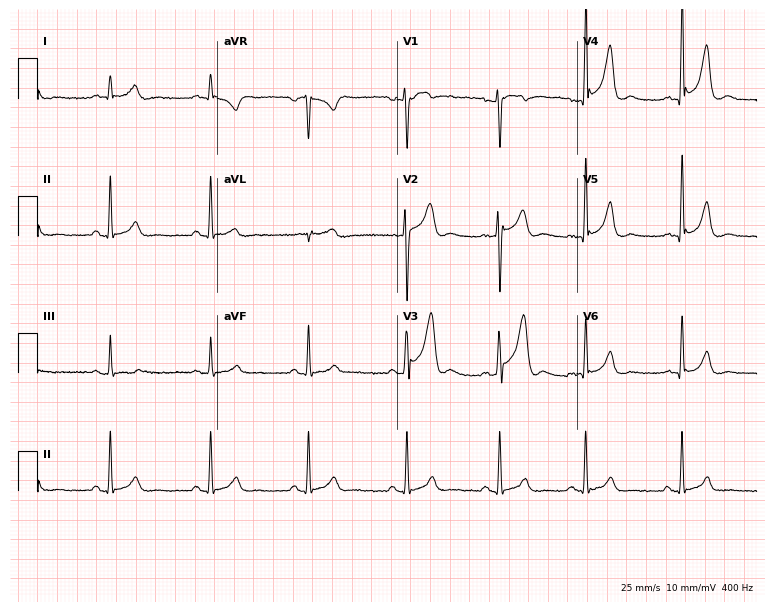
ECG — a 38-year-old man. Screened for six findings — first-degree AV block, right bundle branch block, left bundle branch block, sinus bradycardia, atrial fibrillation, sinus tachycardia — none is recorded. Other findings, if any, are not listed.